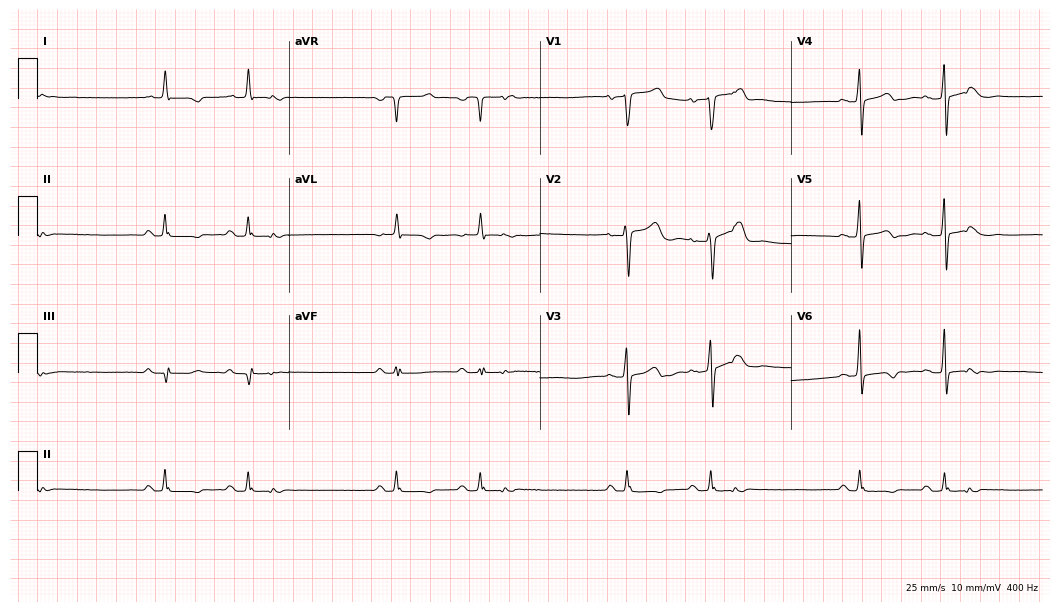
Electrocardiogram (10.2-second recording at 400 Hz), a man, 79 years old. Of the six screened findings (first-degree AV block, right bundle branch block, left bundle branch block, sinus bradycardia, atrial fibrillation, sinus tachycardia), none is recorded. Other findings, if any, are not listed.